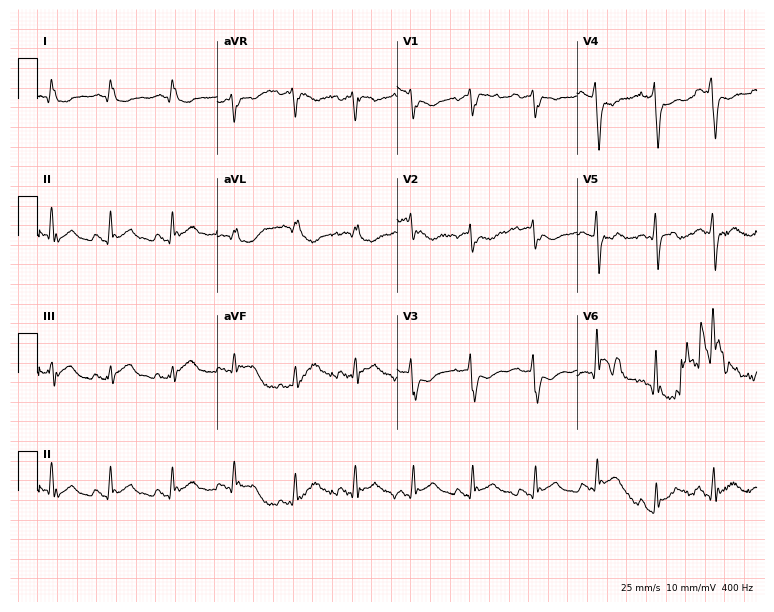
12-lead ECG from a female, 68 years old. Screened for six findings — first-degree AV block, right bundle branch block, left bundle branch block, sinus bradycardia, atrial fibrillation, sinus tachycardia — none is recorded.